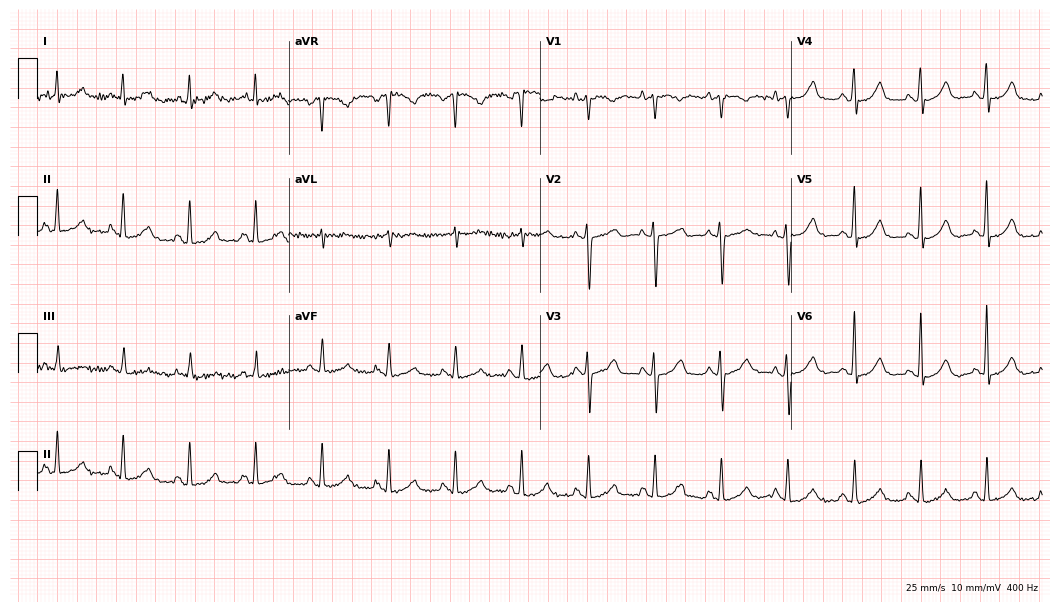
Electrocardiogram (10.2-second recording at 400 Hz), a female, 37 years old. Overall reading on record: normal ECG.